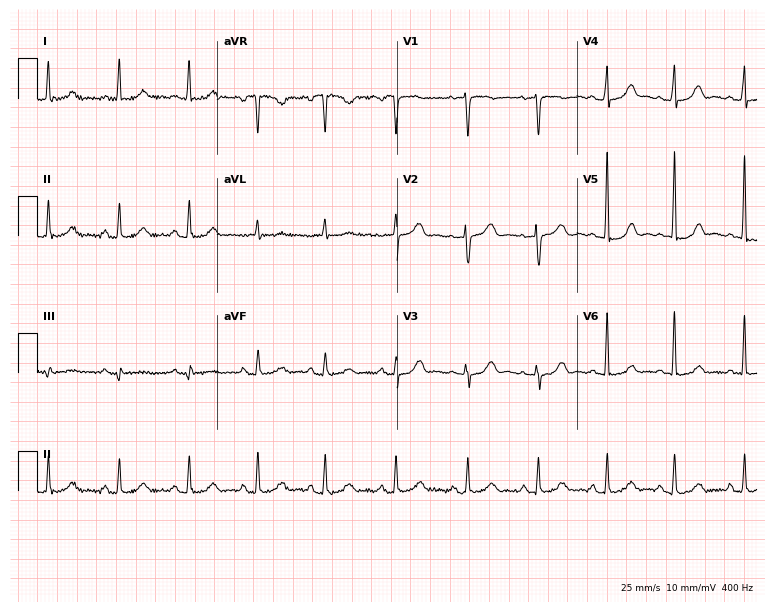
Standard 12-lead ECG recorded from a 58-year-old female patient (7.3-second recording at 400 Hz). None of these six findings is recorded: first-degree AV block, right bundle branch block, left bundle branch block, sinus bradycardia, atrial fibrillation, sinus tachycardia. Only these six findings were labelled.